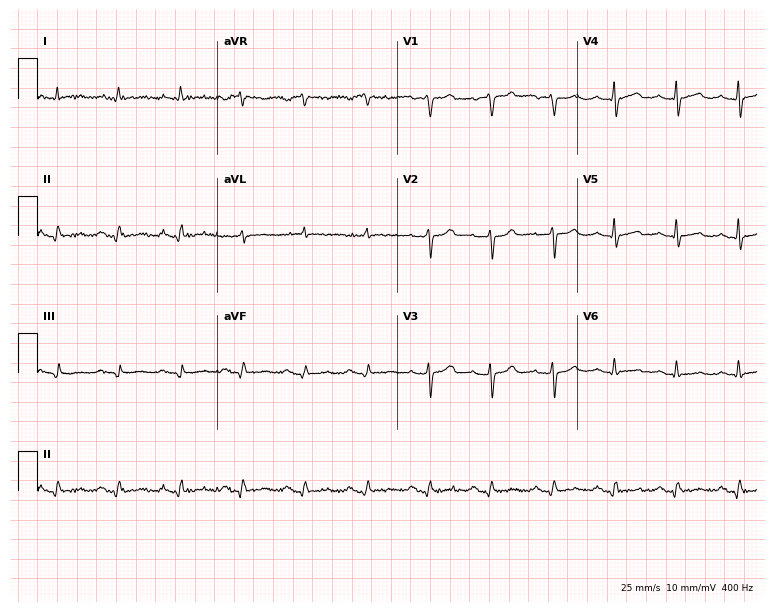
Resting 12-lead electrocardiogram (7.3-second recording at 400 Hz). Patient: a male, 55 years old. None of these six findings is recorded: first-degree AV block, right bundle branch block, left bundle branch block, sinus bradycardia, atrial fibrillation, sinus tachycardia. Findings outside these six are not listed.